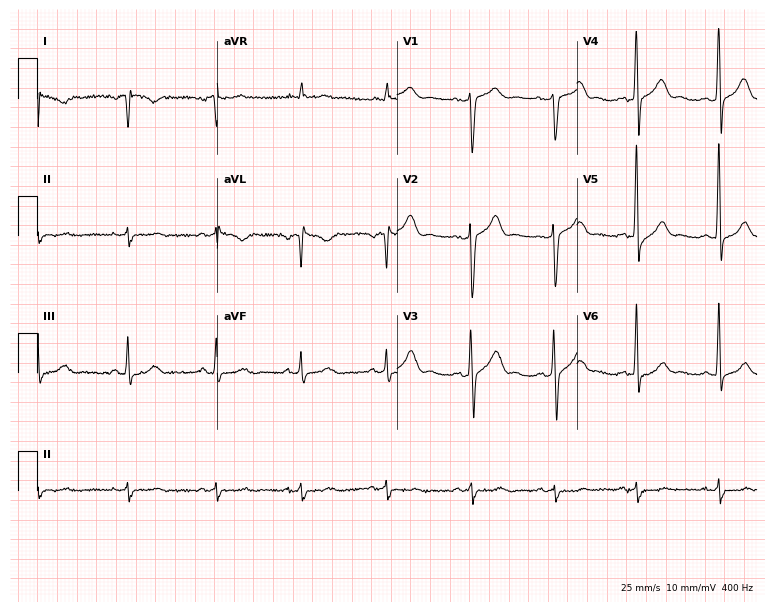
12-lead ECG from a male, 63 years old. Labelled as a normal ECG.